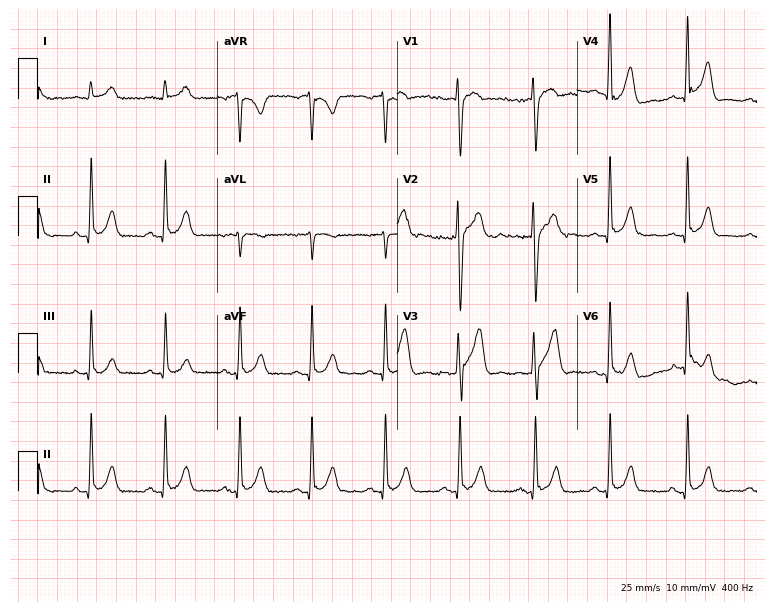
12-lead ECG from a female, 39 years old. Screened for six findings — first-degree AV block, right bundle branch block, left bundle branch block, sinus bradycardia, atrial fibrillation, sinus tachycardia — none is recorded.